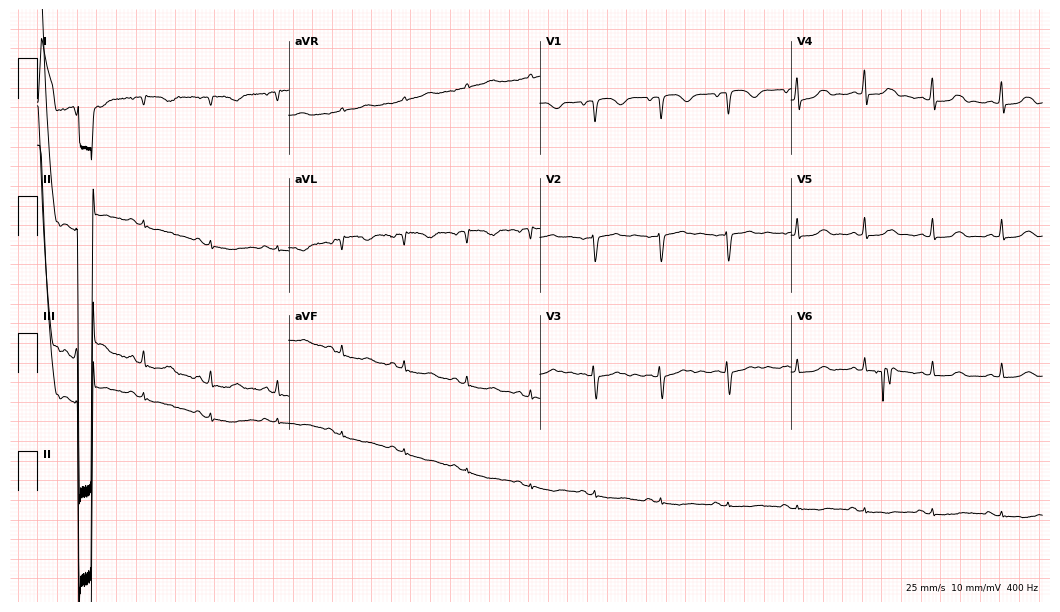
Resting 12-lead electrocardiogram. Patient: a 47-year-old female. None of these six findings is recorded: first-degree AV block, right bundle branch block, left bundle branch block, sinus bradycardia, atrial fibrillation, sinus tachycardia.